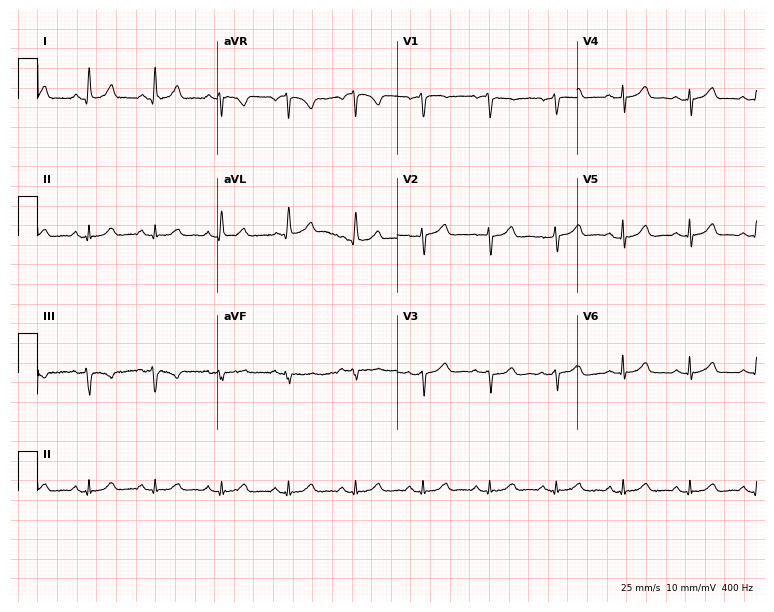
Standard 12-lead ECG recorded from a 59-year-old female (7.3-second recording at 400 Hz). Read as a normal ECG.